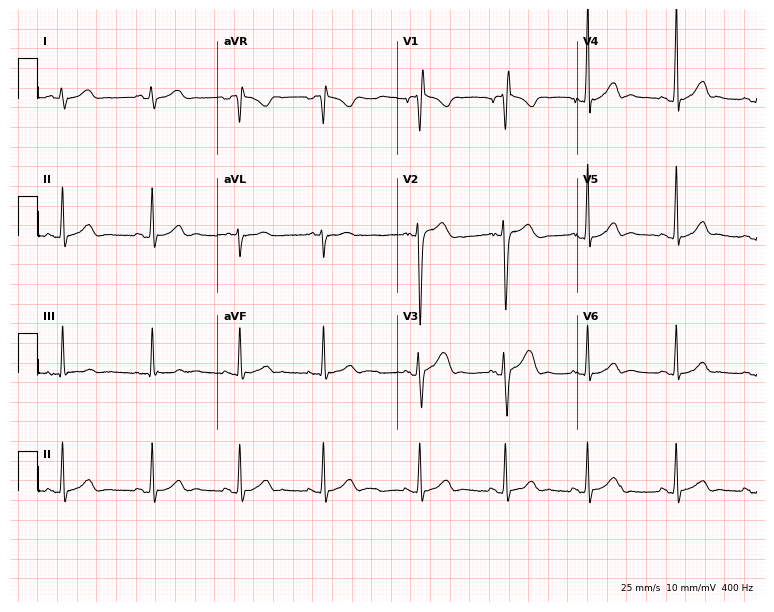
Electrocardiogram, an 18-year-old male patient. Overall reading on record: normal ECG.